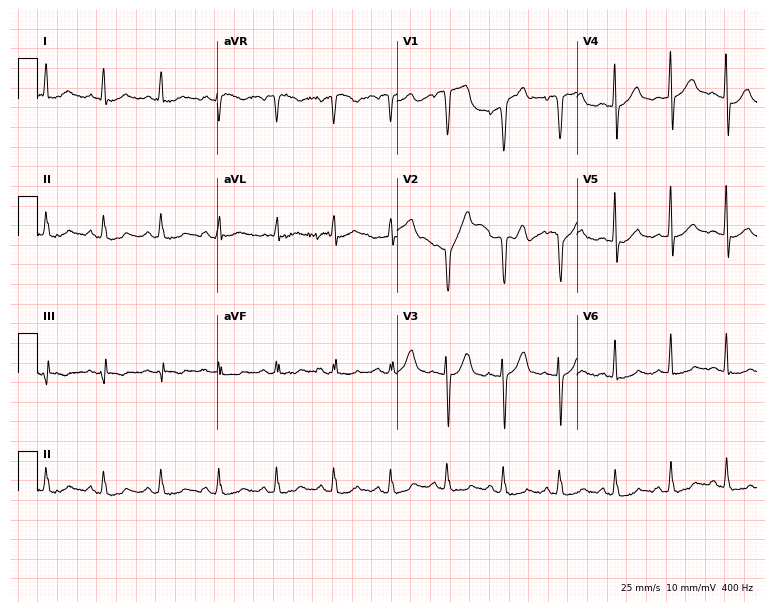
ECG (7.3-second recording at 400 Hz) — a male patient, 45 years old. Findings include sinus tachycardia (a sinus rate of 100 beats per minute or more).